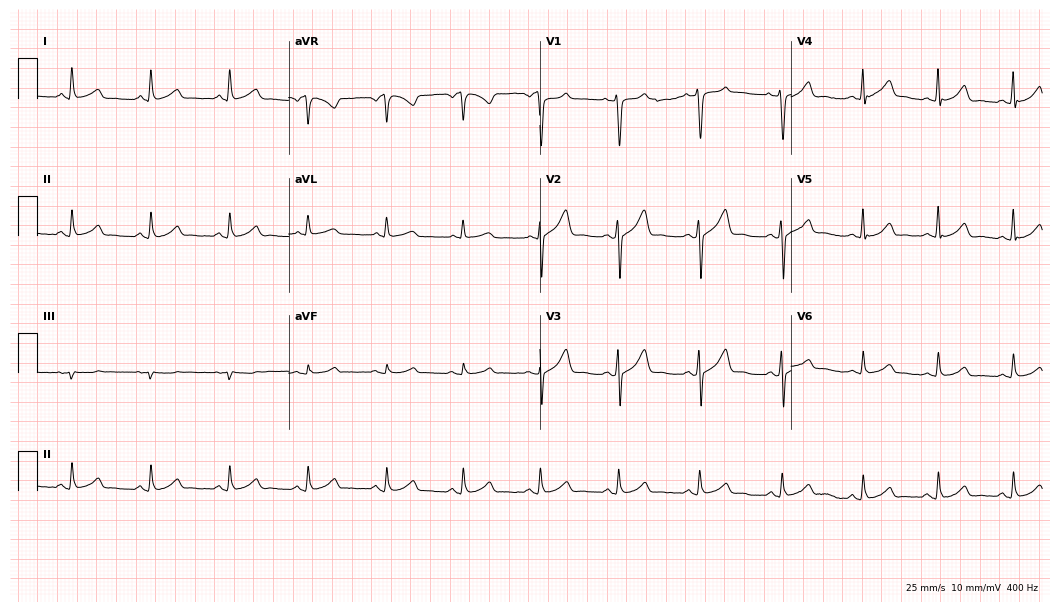
ECG (10.2-second recording at 400 Hz) — a man, 41 years old. Labelled as a normal ECG.